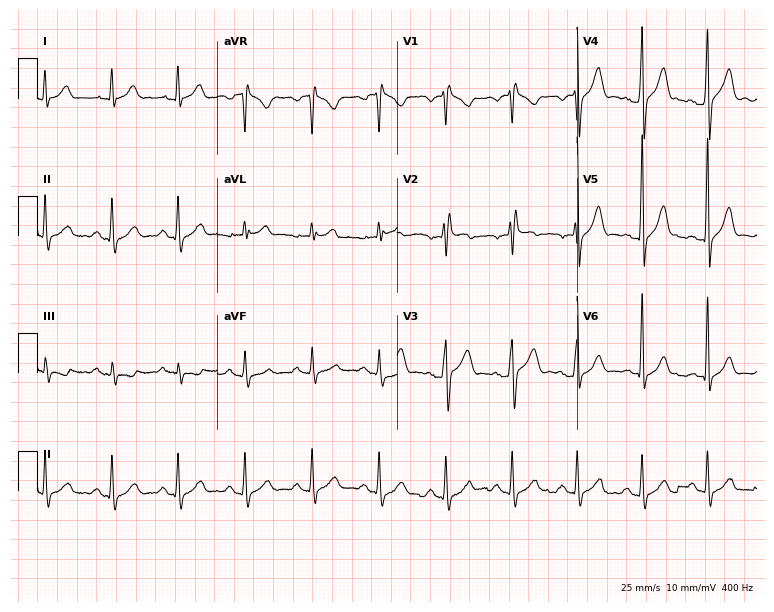
12-lead ECG from a 44-year-old male. No first-degree AV block, right bundle branch block, left bundle branch block, sinus bradycardia, atrial fibrillation or sinus tachycardia recorded for this tracing.